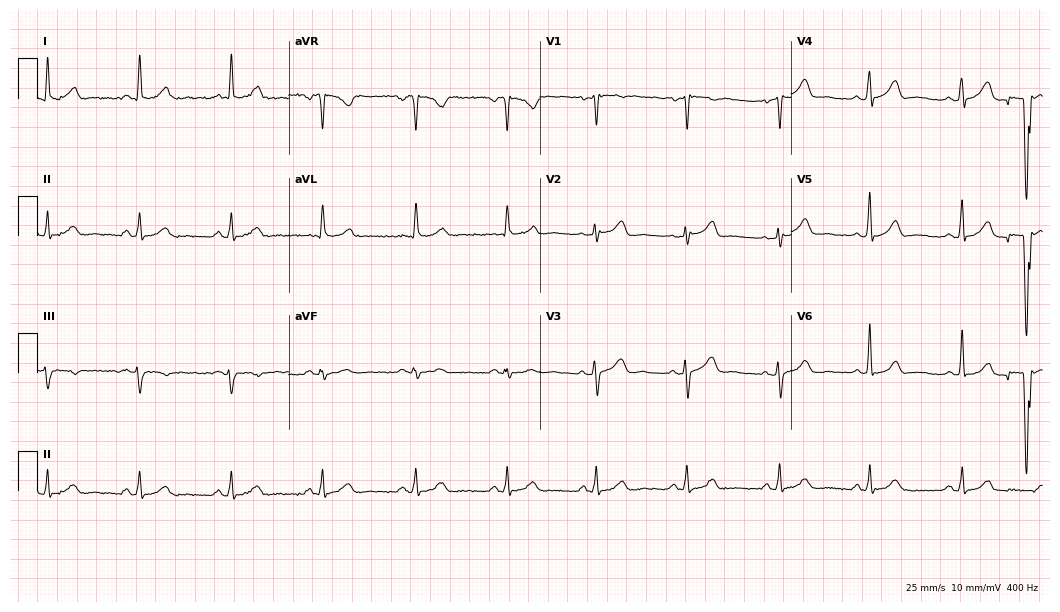
ECG (10.2-second recording at 400 Hz) — a woman, 59 years old. Labelled as a normal ECG.